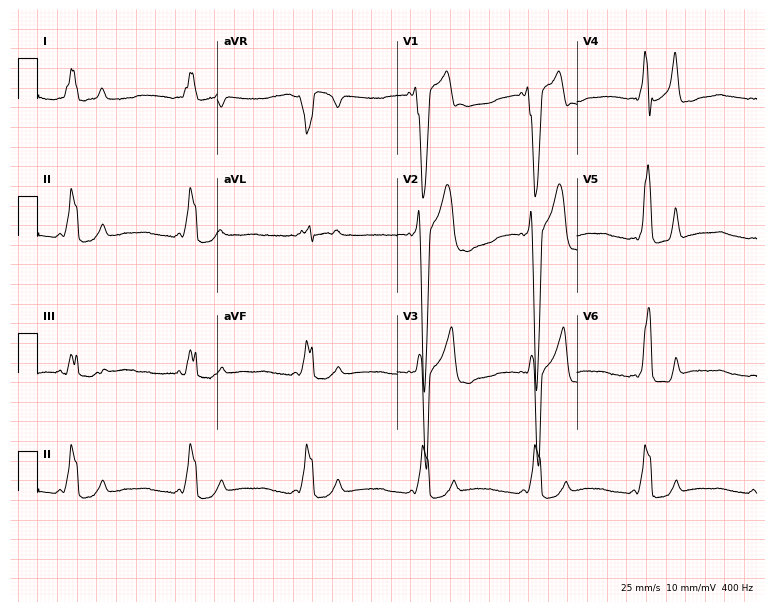
Standard 12-lead ECG recorded from a man, 30 years old (7.3-second recording at 400 Hz). The tracing shows left bundle branch block.